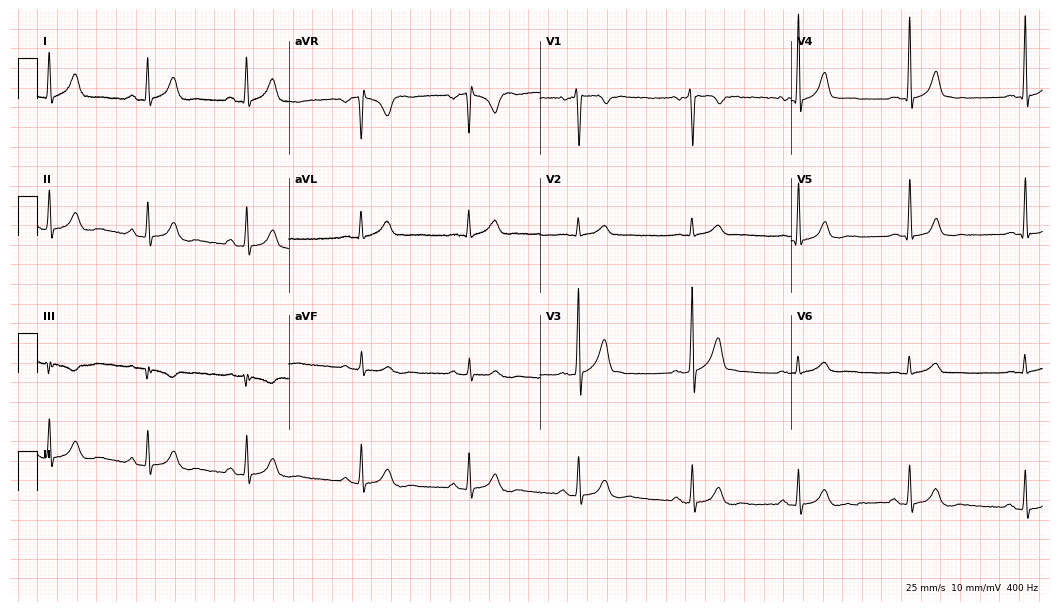
Standard 12-lead ECG recorded from a man, 29 years old. Read as a normal ECG.